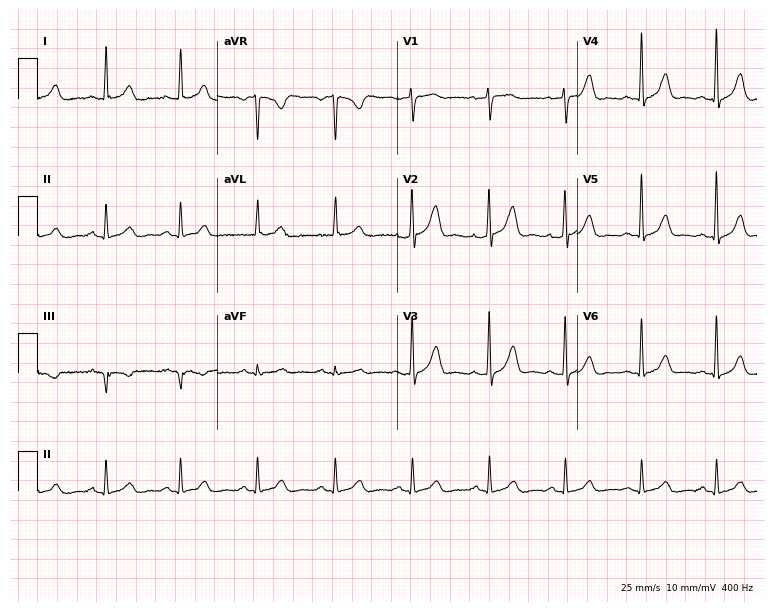
ECG — a 58-year-old female. Labelled as a normal ECG.